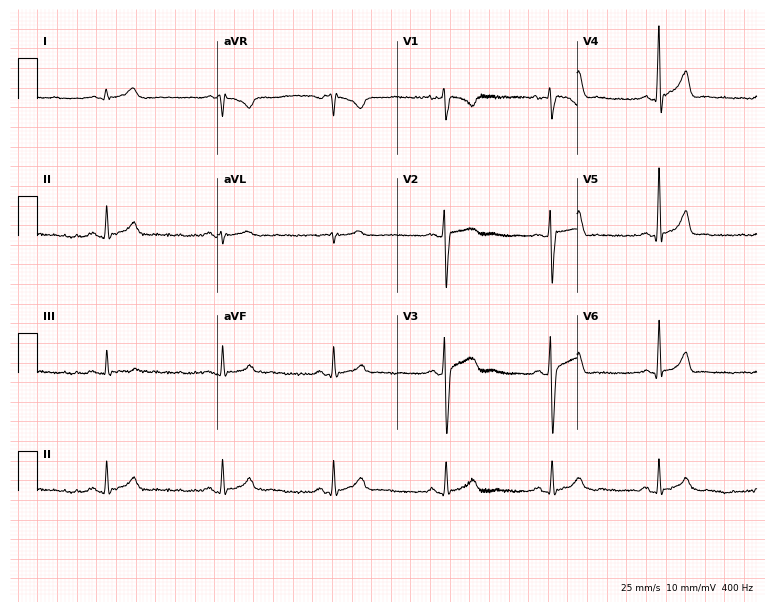
Electrocardiogram, a man, 25 years old. Overall reading on record: normal ECG.